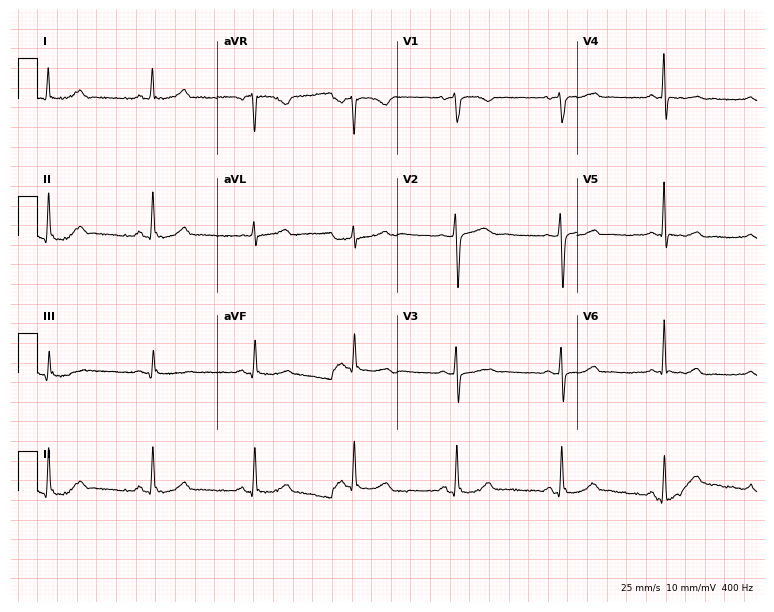
12-lead ECG from a 53-year-old female. Screened for six findings — first-degree AV block, right bundle branch block, left bundle branch block, sinus bradycardia, atrial fibrillation, sinus tachycardia — none is recorded.